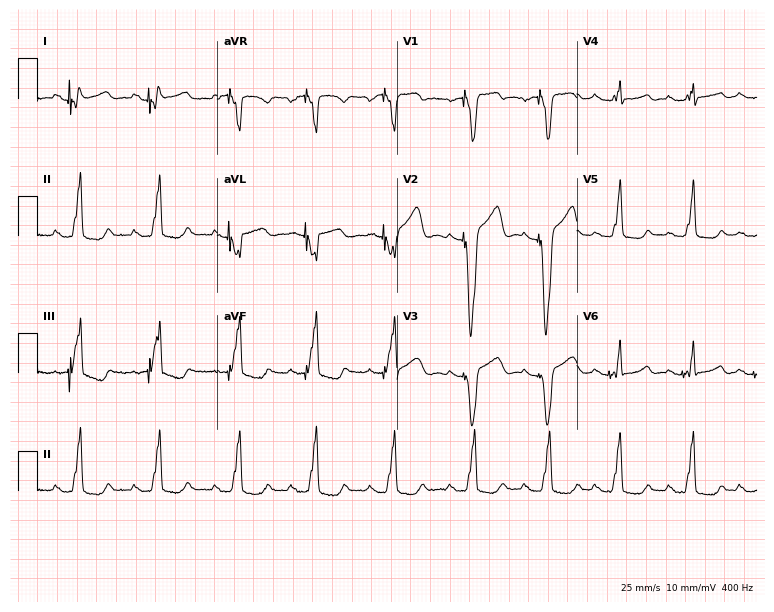
Electrocardiogram, a female, 17 years old. Of the six screened findings (first-degree AV block, right bundle branch block (RBBB), left bundle branch block (LBBB), sinus bradycardia, atrial fibrillation (AF), sinus tachycardia), none is recorded. Other findings, if any, are not listed.